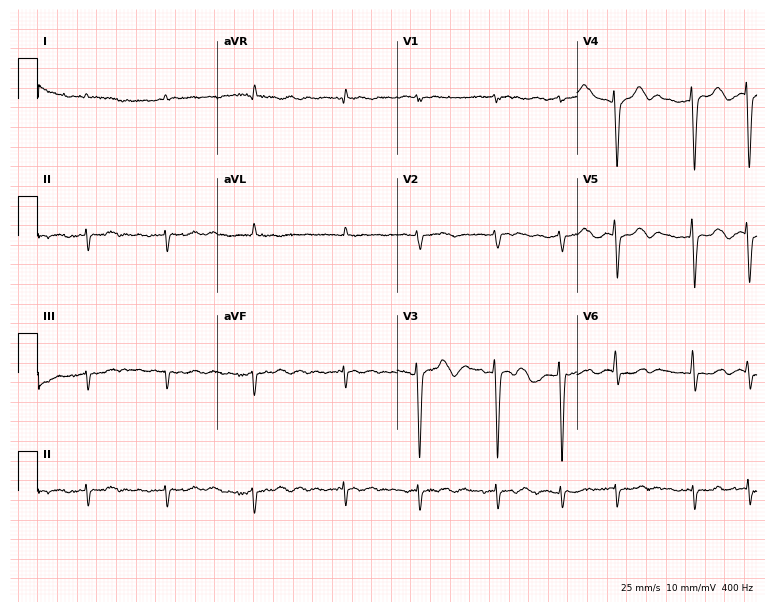
Resting 12-lead electrocardiogram. Patient: an 85-year-old male. The tracing shows atrial fibrillation (AF).